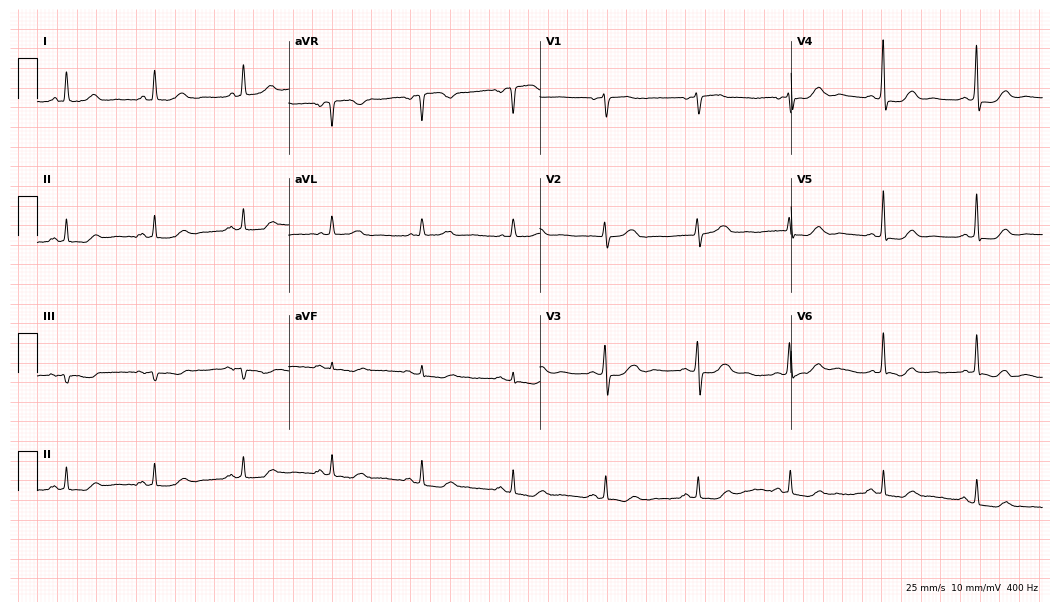
12-lead ECG from a 71-year-old female patient (10.2-second recording at 400 Hz). Recorded interpretation: within normal limits.